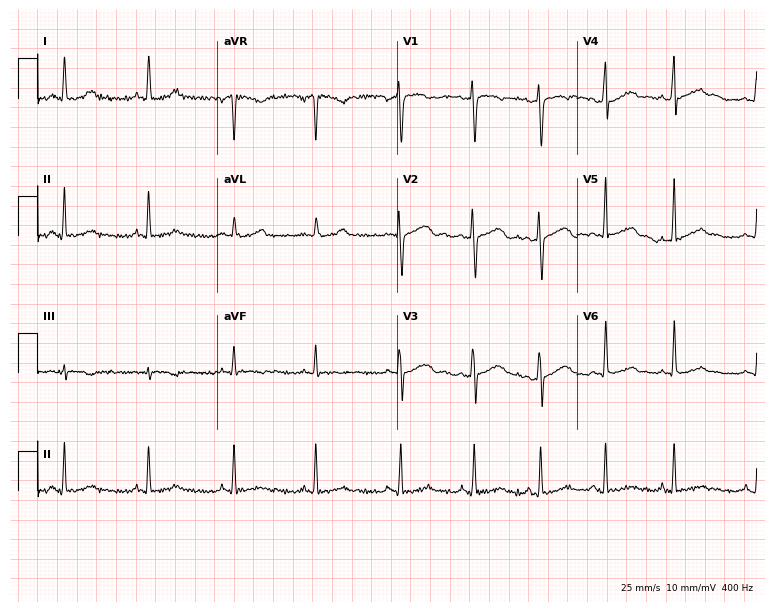
Standard 12-lead ECG recorded from a female, 24 years old. None of these six findings is recorded: first-degree AV block, right bundle branch block, left bundle branch block, sinus bradycardia, atrial fibrillation, sinus tachycardia.